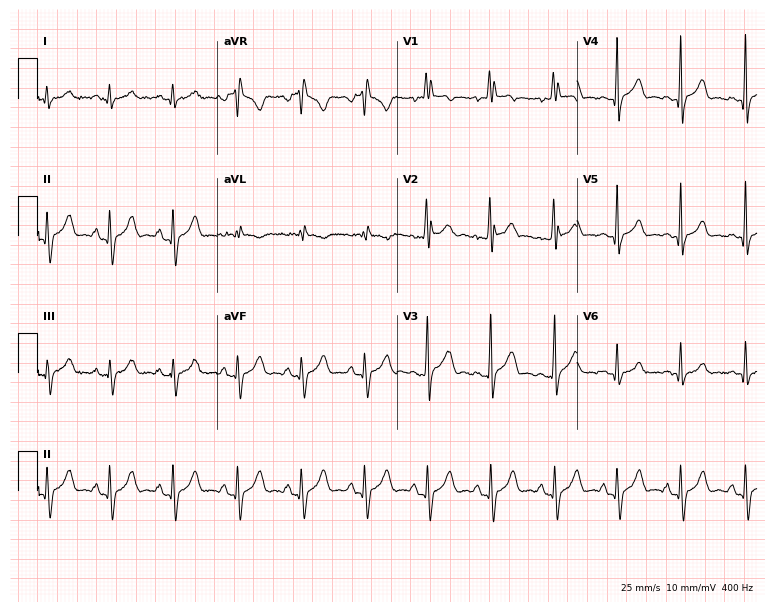
ECG (7.3-second recording at 400 Hz) — a 21-year-old male patient. Labelled as a normal ECG.